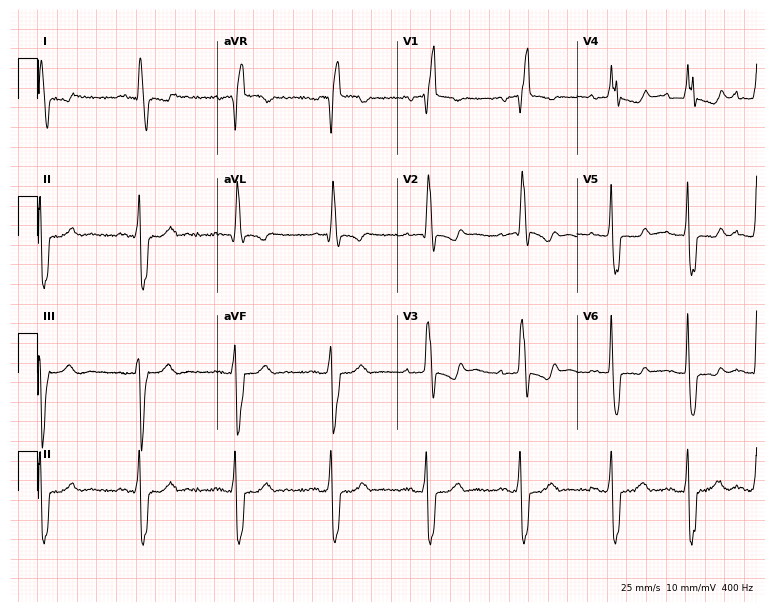
Standard 12-lead ECG recorded from a woman, 70 years old (7.3-second recording at 400 Hz). The tracing shows right bundle branch block (RBBB).